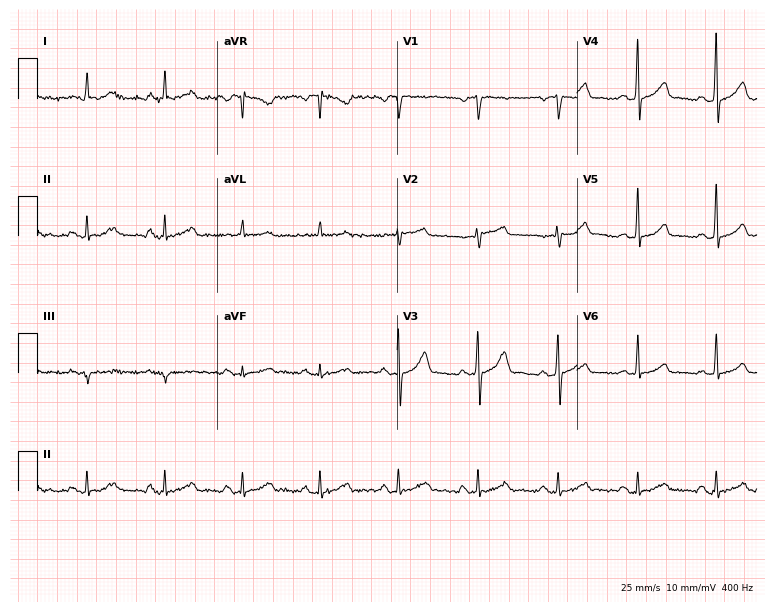
12-lead ECG (7.3-second recording at 400 Hz) from a 63-year-old male. Labelled as a normal ECG.